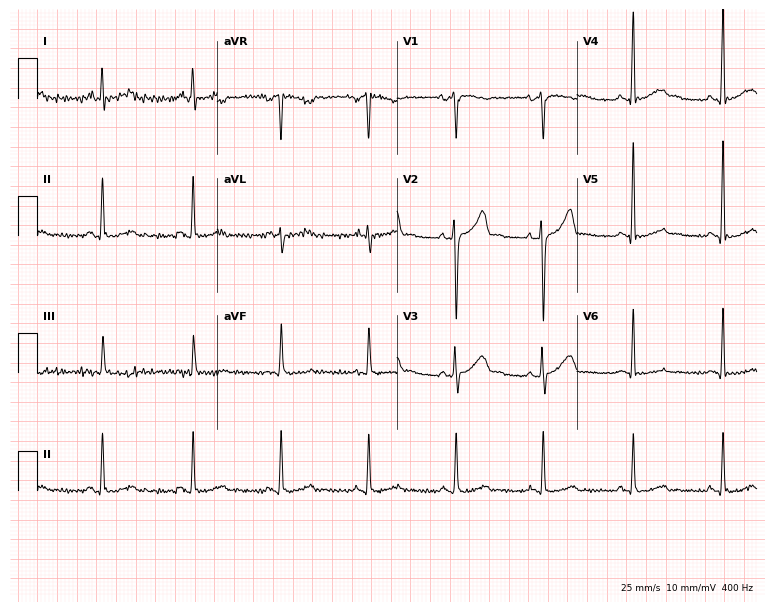
Electrocardiogram (7.3-second recording at 400 Hz), a male, 35 years old. Overall reading on record: normal ECG.